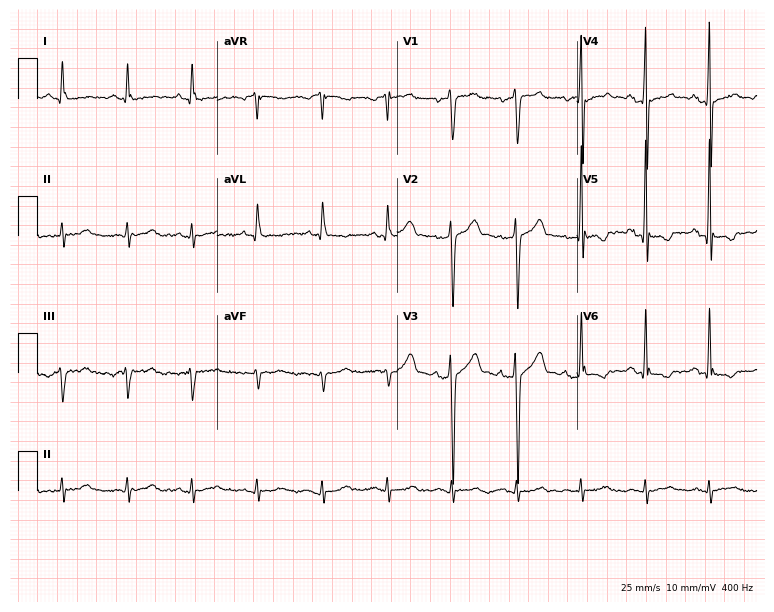
Resting 12-lead electrocardiogram. Patient: a 44-year-old male. None of these six findings is recorded: first-degree AV block, right bundle branch block, left bundle branch block, sinus bradycardia, atrial fibrillation, sinus tachycardia. Other findings, if any, are not listed.